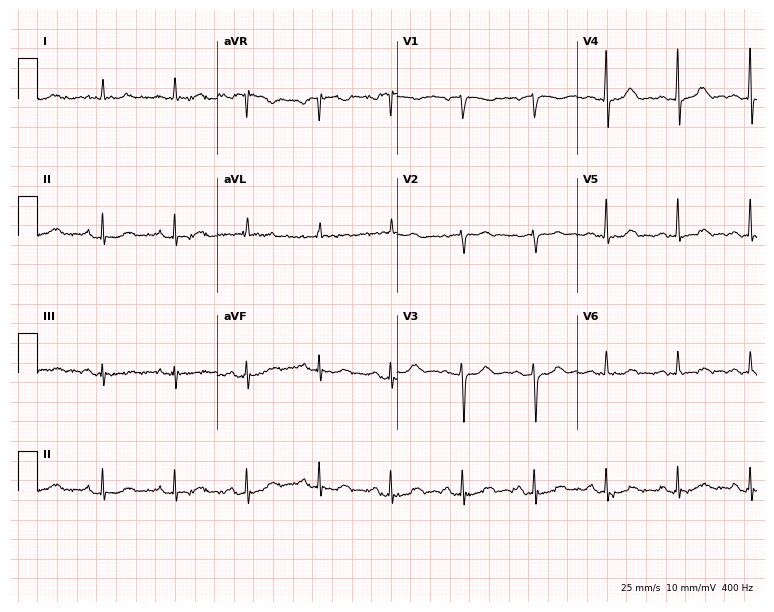
12-lead ECG from a female, 80 years old (7.3-second recording at 400 Hz). No first-degree AV block, right bundle branch block (RBBB), left bundle branch block (LBBB), sinus bradycardia, atrial fibrillation (AF) or sinus tachycardia recorded for this tracing. Only these six findings were labelled.